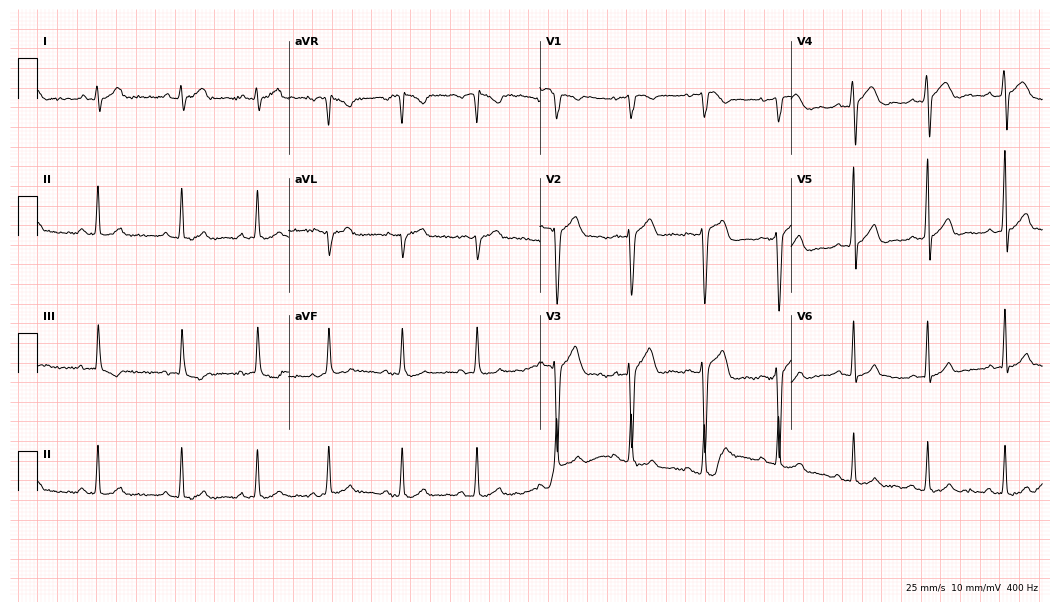
ECG (10.2-second recording at 400 Hz) — a 19-year-old male patient. Screened for six findings — first-degree AV block, right bundle branch block (RBBB), left bundle branch block (LBBB), sinus bradycardia, atrial fibrillation (AF), sinus tachycardia — none is recorded. Findings outside these six are not listed.